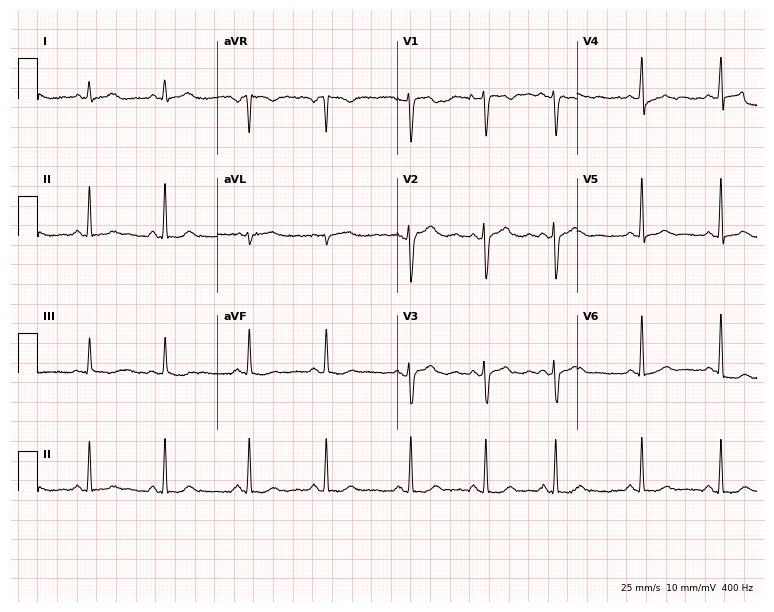
Standard 12-lead ECG recorded from a man, 31 years old (7.3-second recording at 400 Hz). Read as a normal ECG.